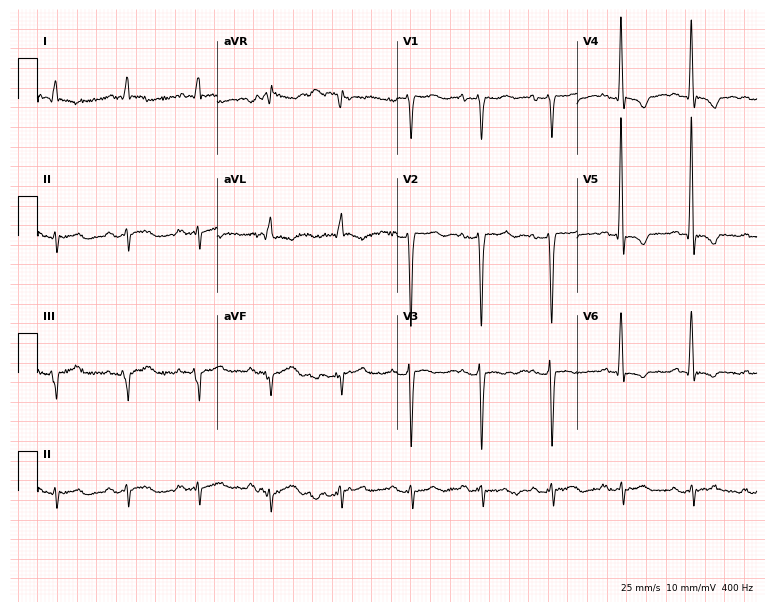
Resting 12-lead electrocardiogram (7.3-second recording at 400 Hz). Patient: a male, 82 years old. None of these six findings is recorded: first-degree AV block, right bundle branch block, left bundle branch block, sinus bradycardia, atrial fibrillation, sinus tachycardia. Findings outside these six are not listed.